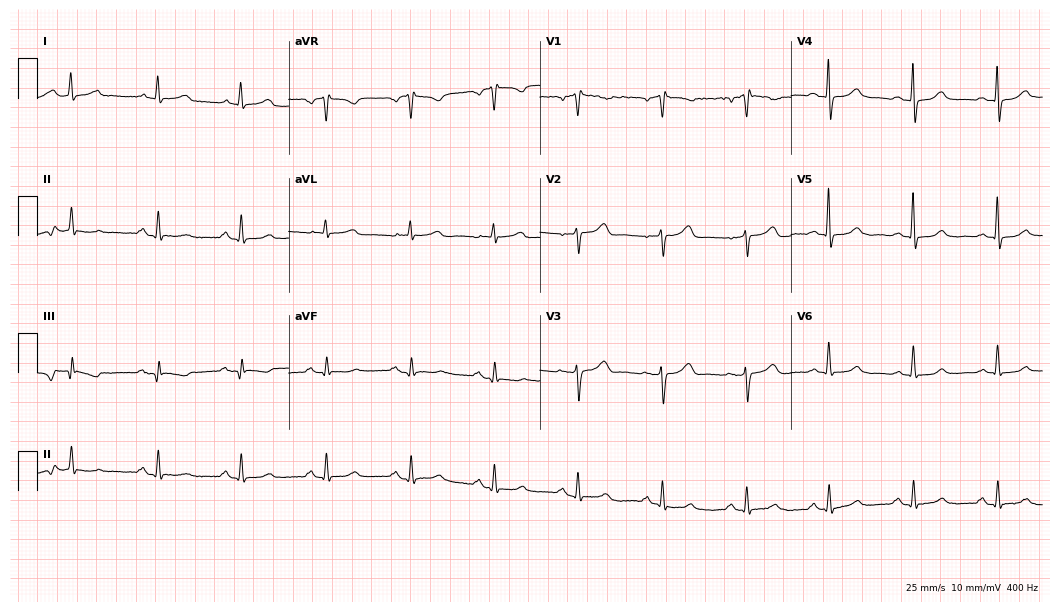
12-lead ECG from a female, 62 years old (10.2-second recording at 400 Hz). No first-degree AV block, right bundle branch block, left bundle branch block, sinus bradycardia, atrial fibrillation or sinus tachycardia recorded for this tracing. Other findings, if any, are not listed.